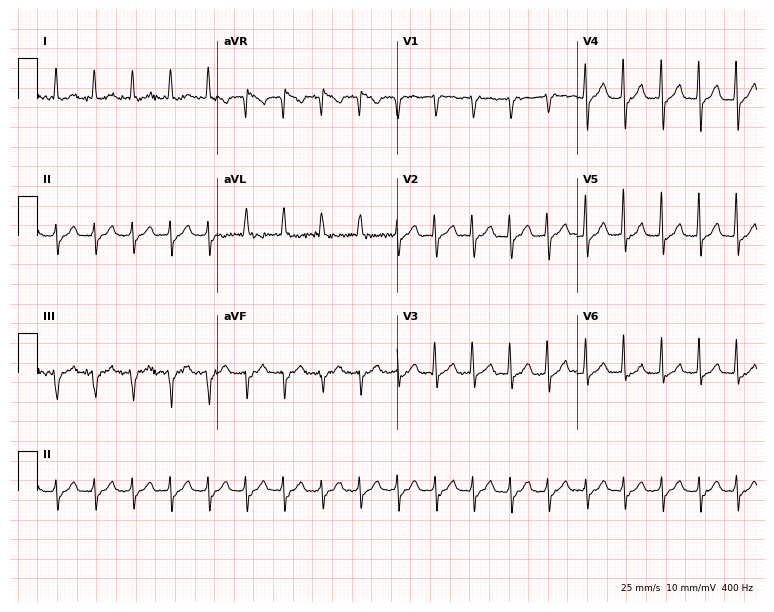
Resting 12-lead electrocardiogram (7.3-second recording at 400 Hz). Patient: a woman, 67 years old. The tracing shows sinus tachycardia (a sinus rate of 100 beats per minute or more).